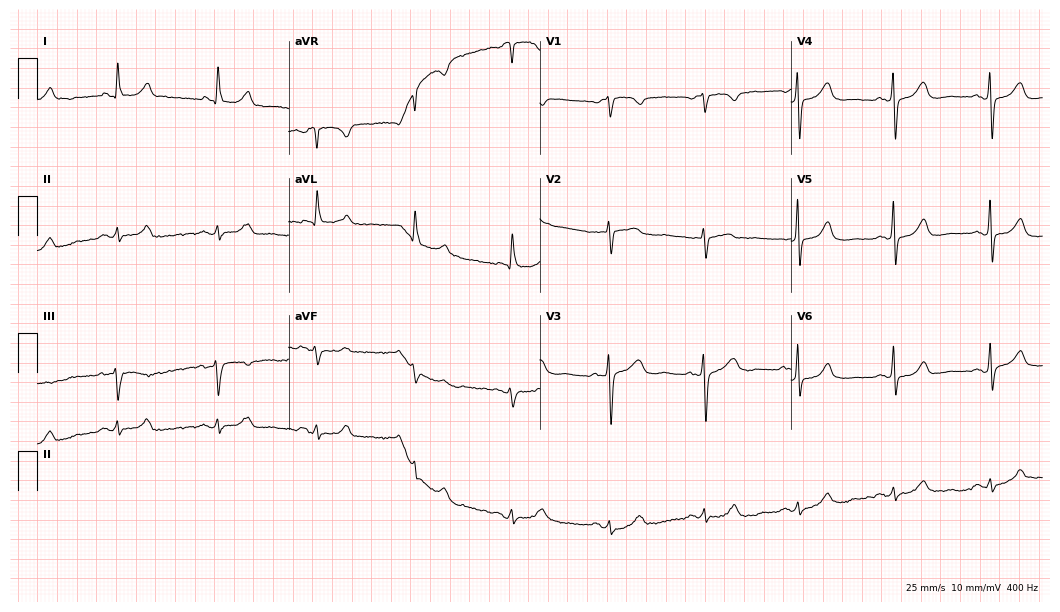
12-lead ECG from a female patient, 72 years old. No first-degree AV block, right bundle branch block, left bundle branch block, sinus bradycardia, atrial fibrillation or sinus tachycardia recorded for this tracing. Other findings, if any, are not listed.